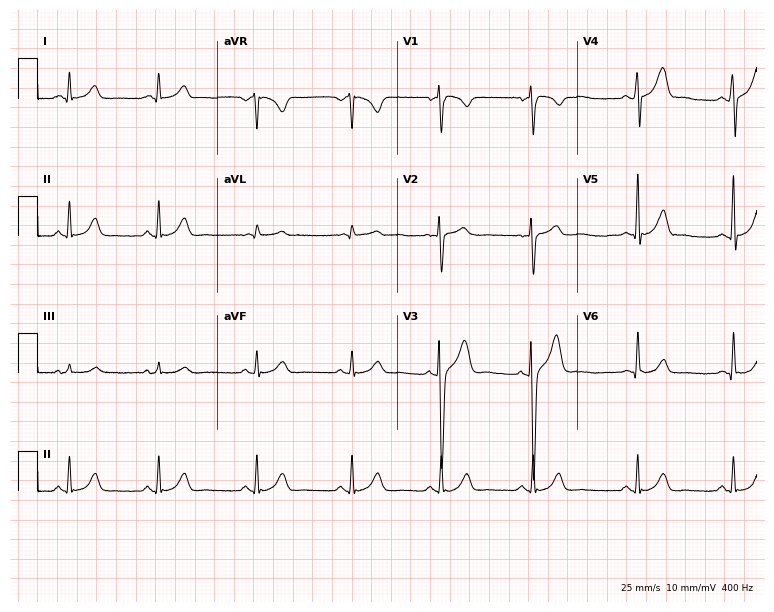
ECG (7.3-second recording at 400 Hz) — a 35-year-old male patient. Screened for six findings — first-degree AV block, right bundle branch block (RBBB), left bundle branch block (LBBB), sinus bradycardia, atrial fibrillation (AF), sinus tachycardia — none is recorded.